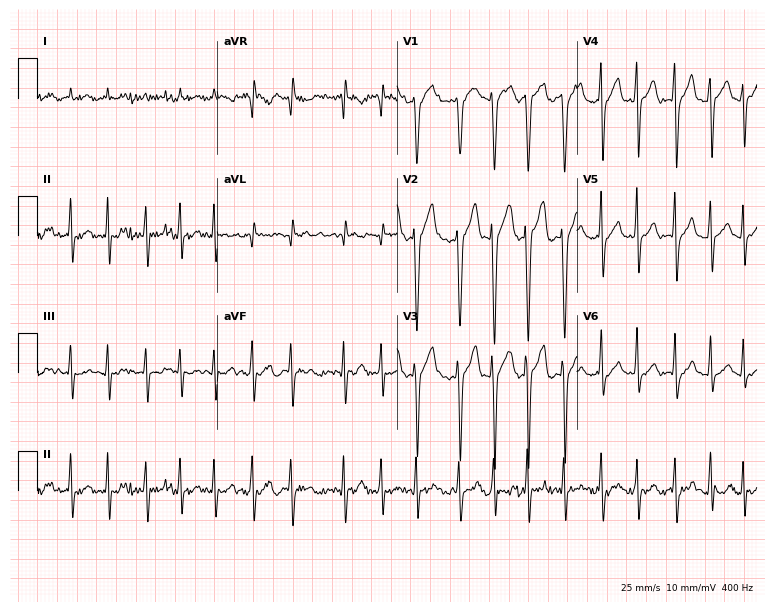
ECG — a male patient, 45 years old. Findings include atrial fibrillation.